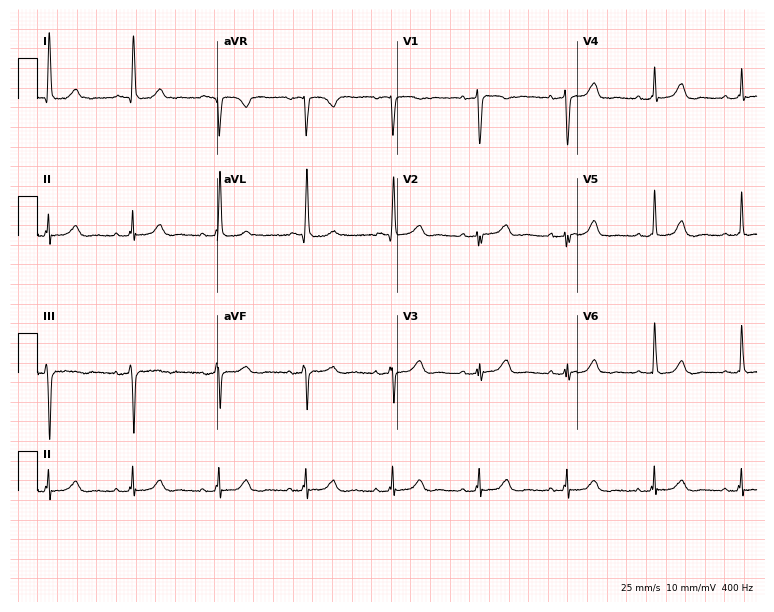
Electrocardiogram (7.3-second recording at 400 Hz), a 77-year-old female patient. Overall reading on record: normal ECG.